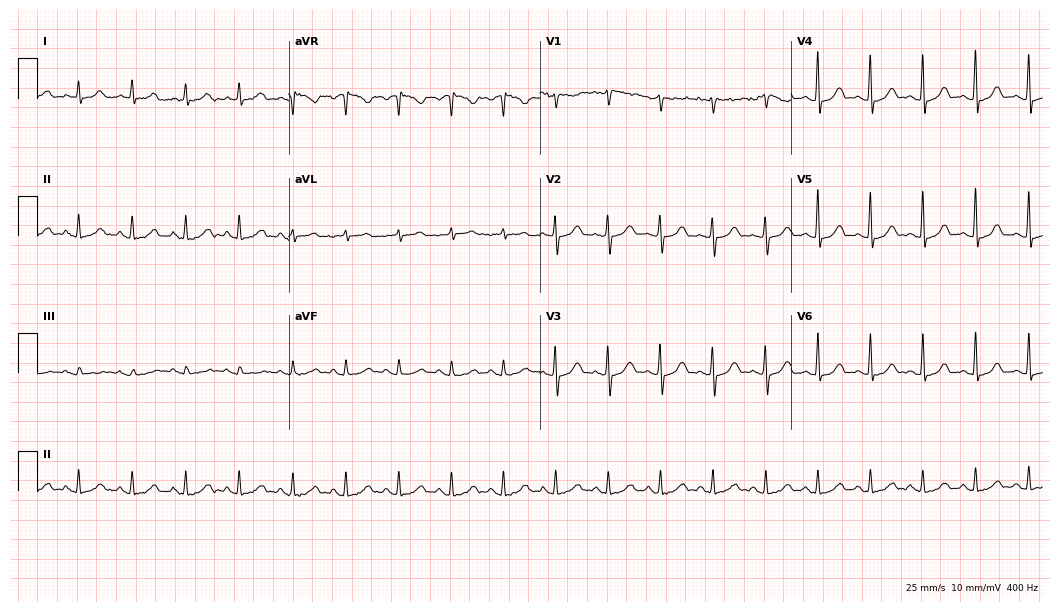
12-lead ECG from a female patient, 37 years old (10.2-second recording at 400 Hz). Shows sinus tachycardia (a sinus rate of 100 beats per minute or more).